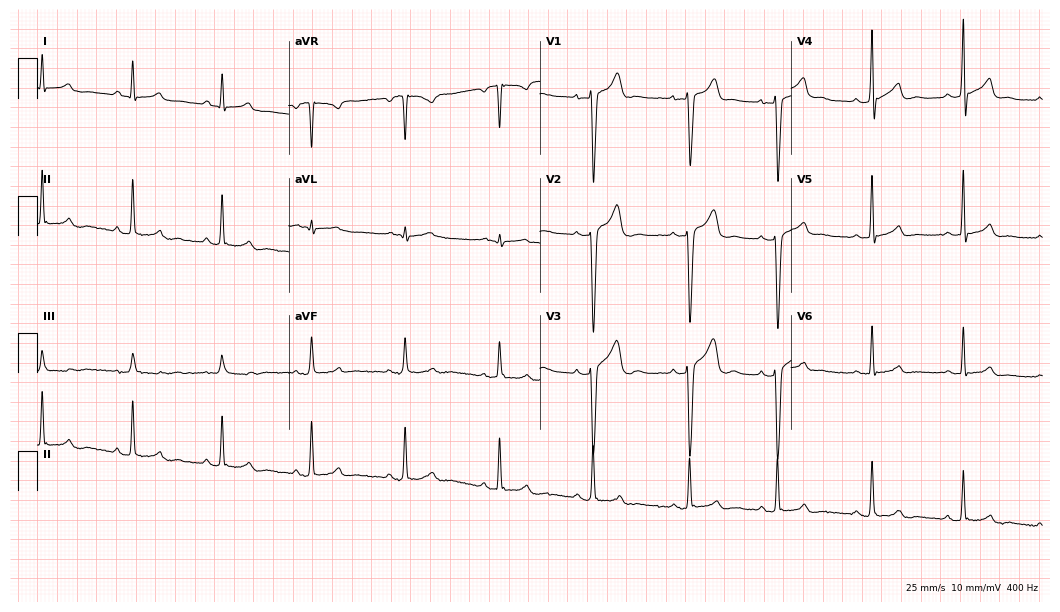
12-lead ECG from an 18-year-old man (10.2-second recording at 400 Hz). No first-degree AV block, right bundle branch block, left bundle branch block, sinus bradycardia, atrial fibrillation or sinus tachycardia recorded for this tracing.